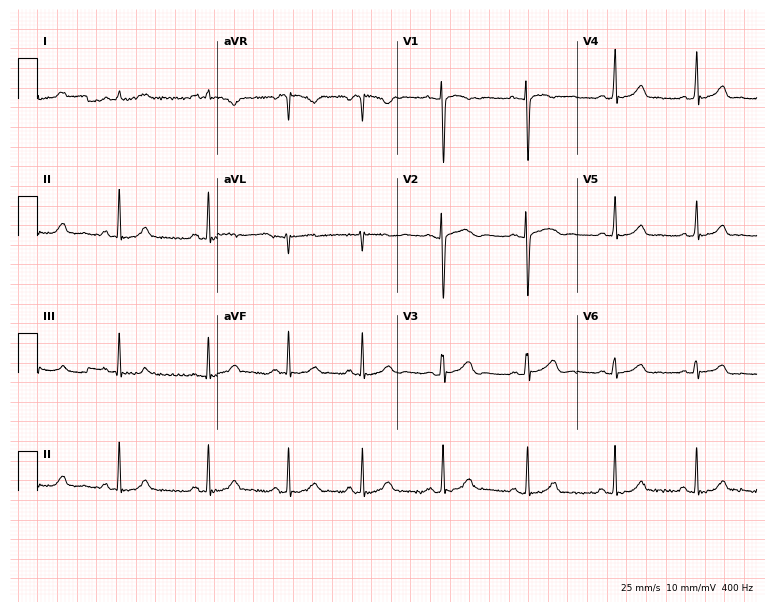
ECG — a 40-year-old female. Screened for six findings — first-degree AV block, right bundle branch block, left bundle branch block, sinus bradycardia, atrial fibrillation, sinus tachycardia — none is recorded. Other findings, if any, are not listed.